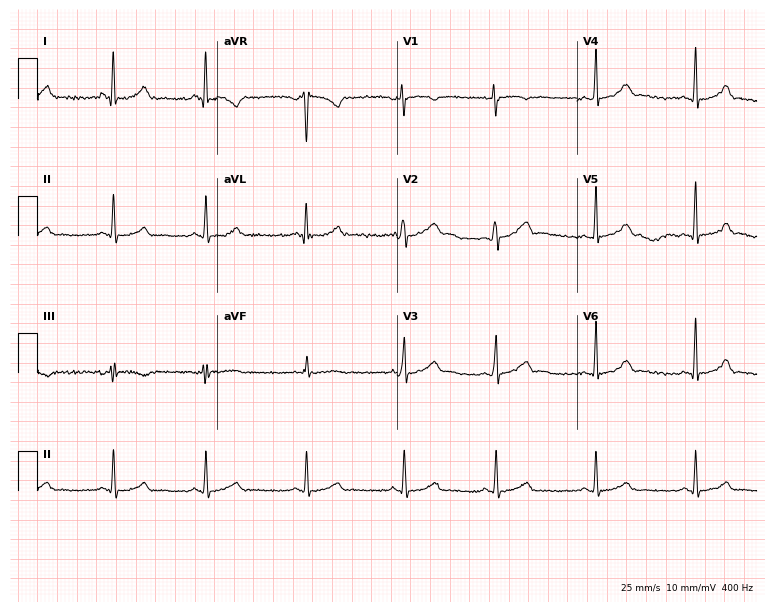
Electrocardiogram, a woman, 22 years old. Overall reading on record: normal ECG.